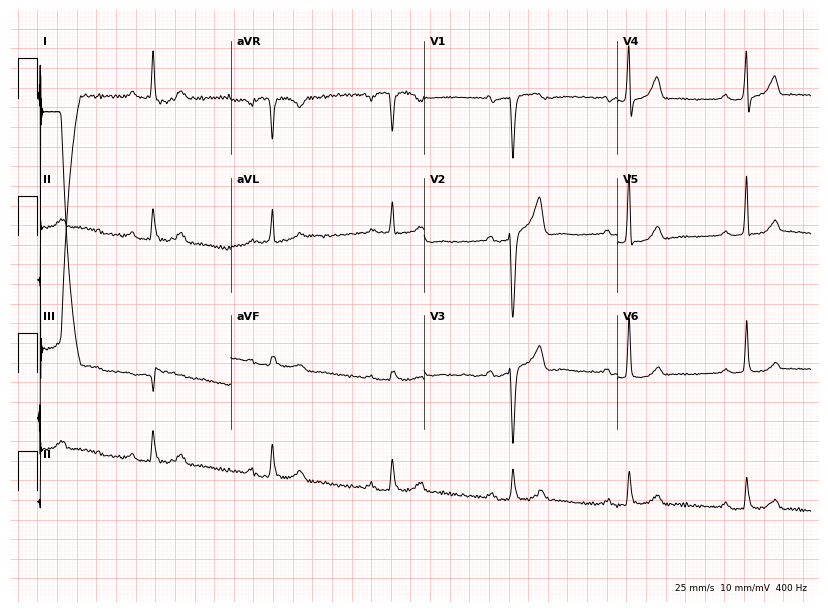
Electrocardiogram, a male, 45 years old. Of the six screened findings (first-degree AV block, right bundle branch block (RBBB), left bundle branch block (LBBB), sinus bradycardia, atrial fibrillation (AF), sinus tachycardia), none is recorded.